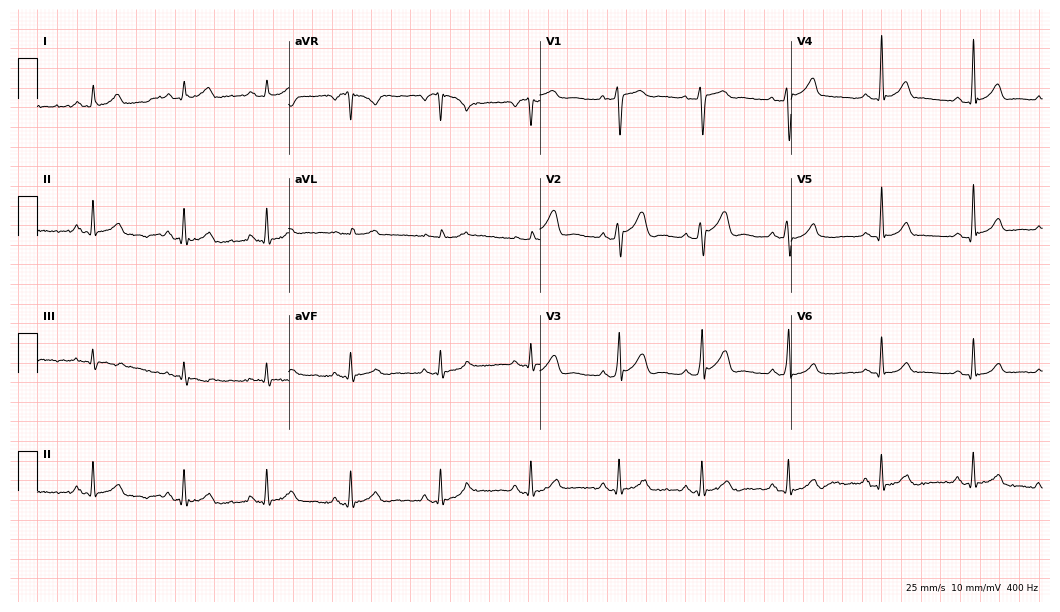
12-lead ECG from a male, 23 years old (10.2-second recording at 400 Hz). Recorded interpretation: within normal limits.